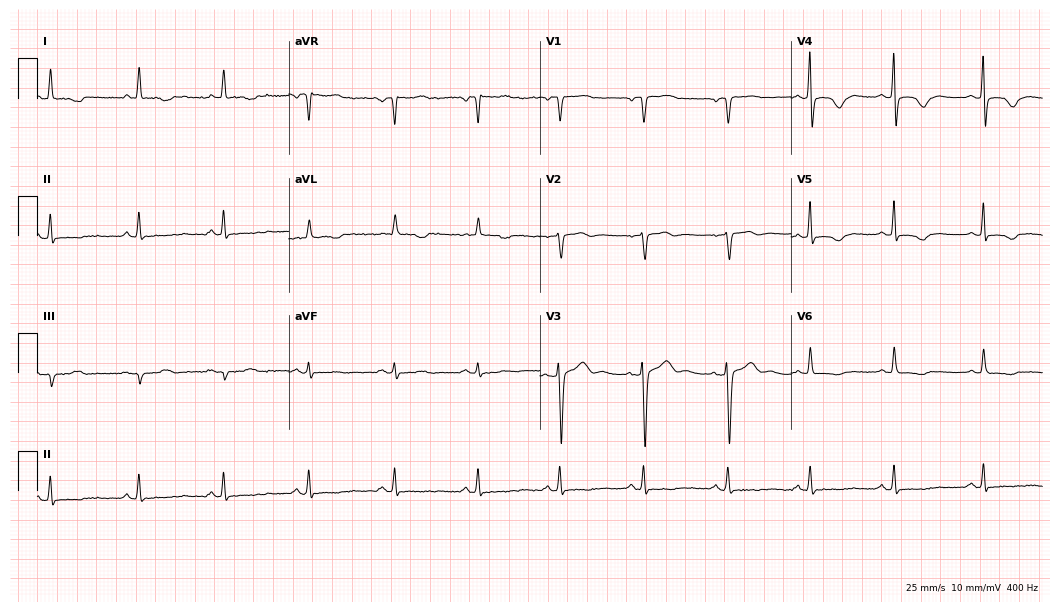
Electrocardiogram (10.2-second recording at 400 Hz), a 53-year-old female. Overall reading on record: normal ECG.